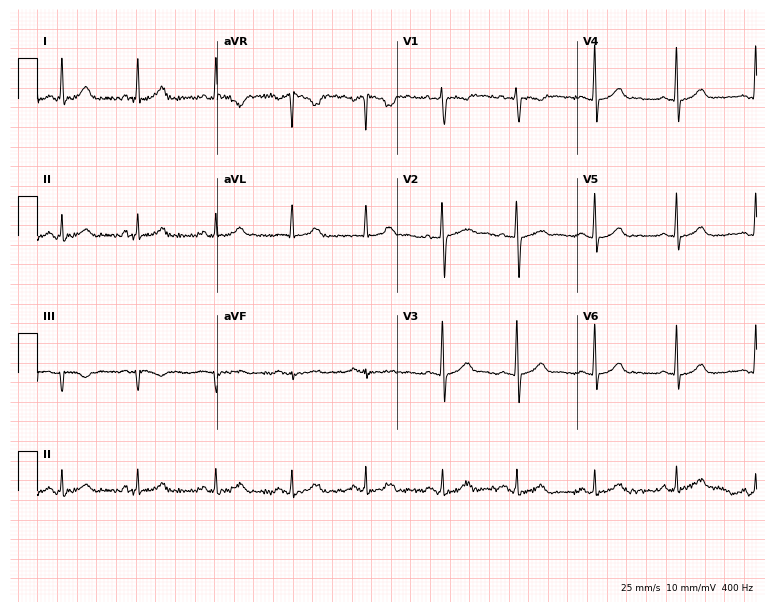
Standard 12-lead ECG recorded from a female patient, 26 years old. None of these six findings is recorded: first-degree AV block, right bundle branch block, left bundle branch block, sinus bradycardia, atrial fibrillation, sinus tachycardia. Only these six findings were labelled.